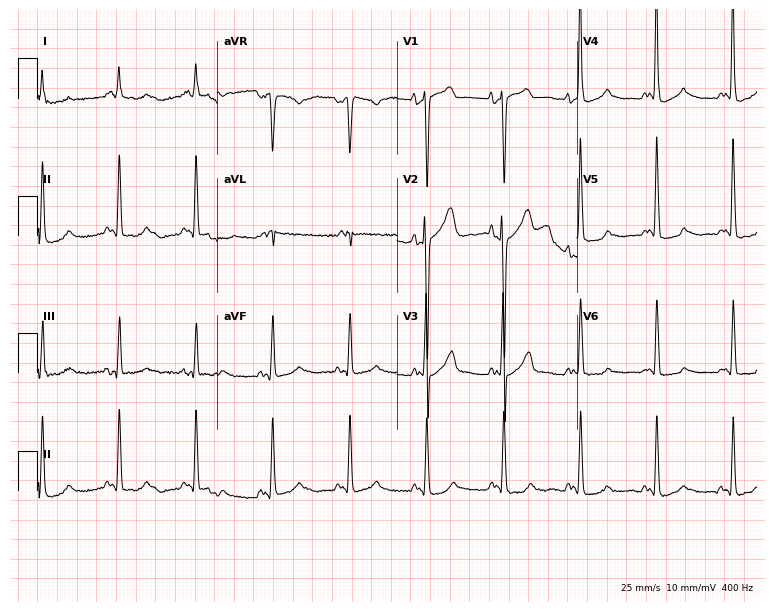
Electrocardiogram, a female patient, 60 years old. Of the six screened findings (first-degree AV block, right bundle branch block, left bundle branch block, sinus bradycardia, atrial fibrillation, sinus tachycardia), none is recorded. Findings outside these six are not listed.